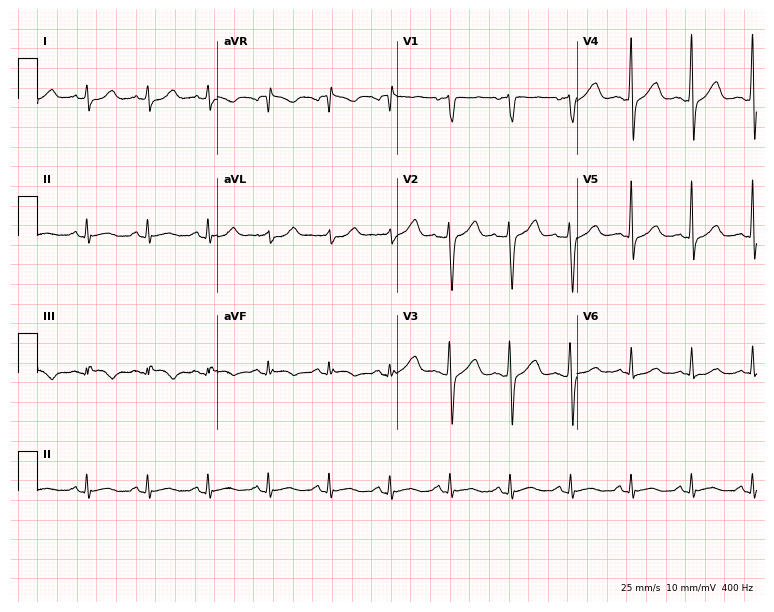
ECG (7.3-second recording at 400 Hz) — a woman, 24 years old. Screened for six findings — first-degree AV block, right bundle branch block (RBBB), left bundle branch block (LBBB), sinus bradycardia, atrial fibrillation (AF), sinus tachycardia — none is recorded. Only these six findings were labelled.